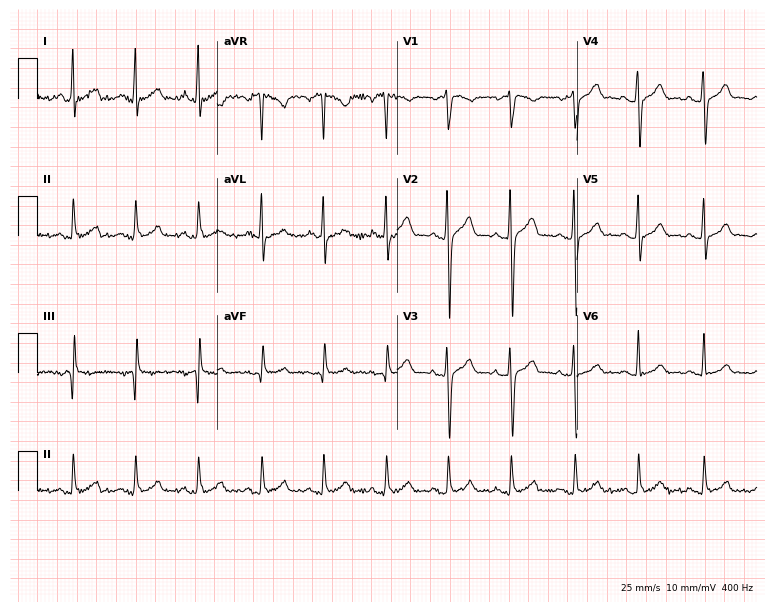
12-lead ECG from a male patient, 34 years old. Labelled as a normal ECG.